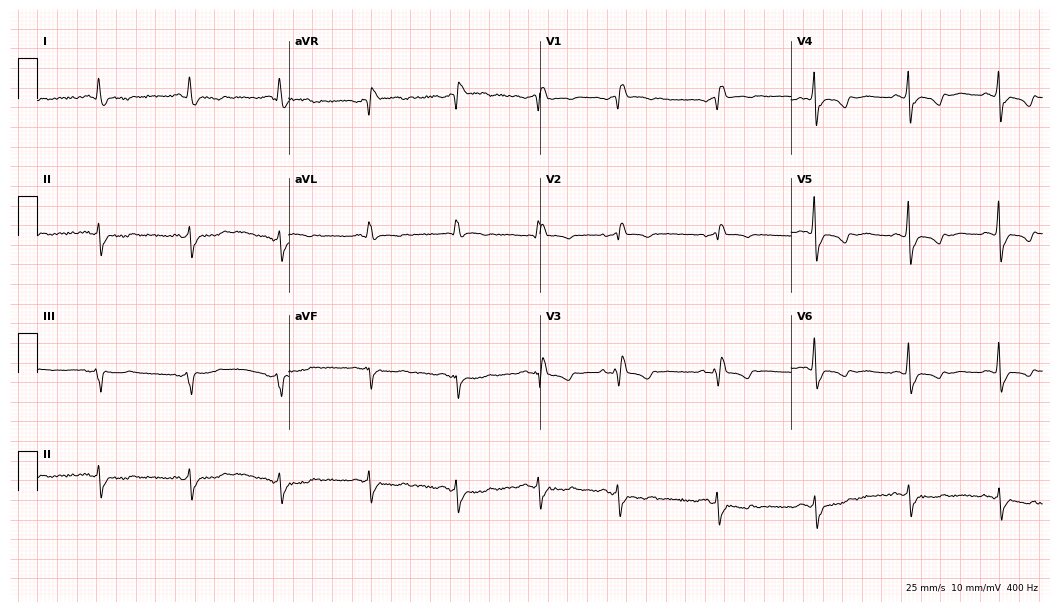
12-lead ECG (10.2-second recording at 400 Hz) from a woman, 66 years old. Findings include right bundle branch block.